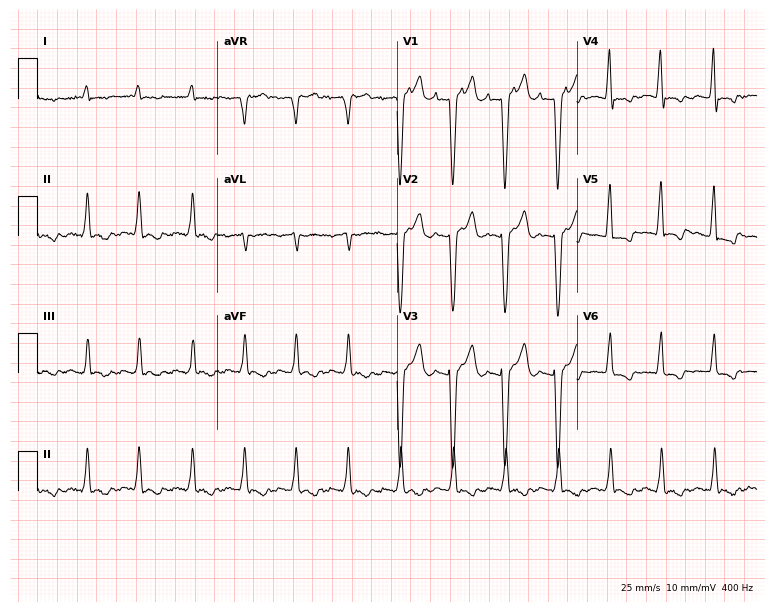
ECG — a male, 77 years old. Screened for six findings — first-degree AV block, right bundle branch block, left bundle branch block, sinus bradycardia, atrial fibrillation, sinus tachycardia — none is recorded.